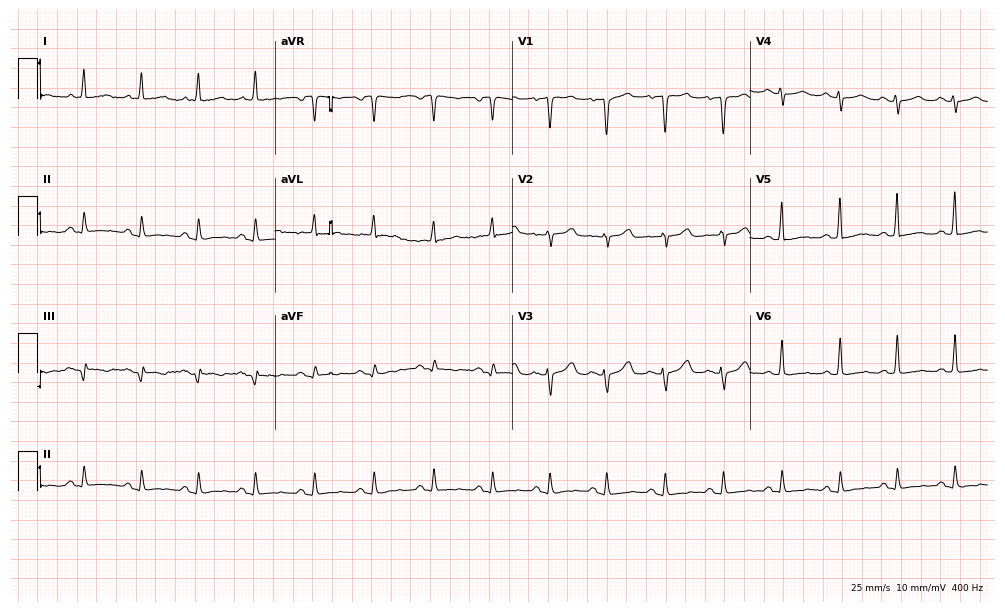
12-lead ECG from a woman, 56 years old. Screened for six findings — first-degree AV block, right bundle branch block, left bundle branch block, sinus bradycardia, atrial fibrillation, sinus tachycardia — none is recorded.